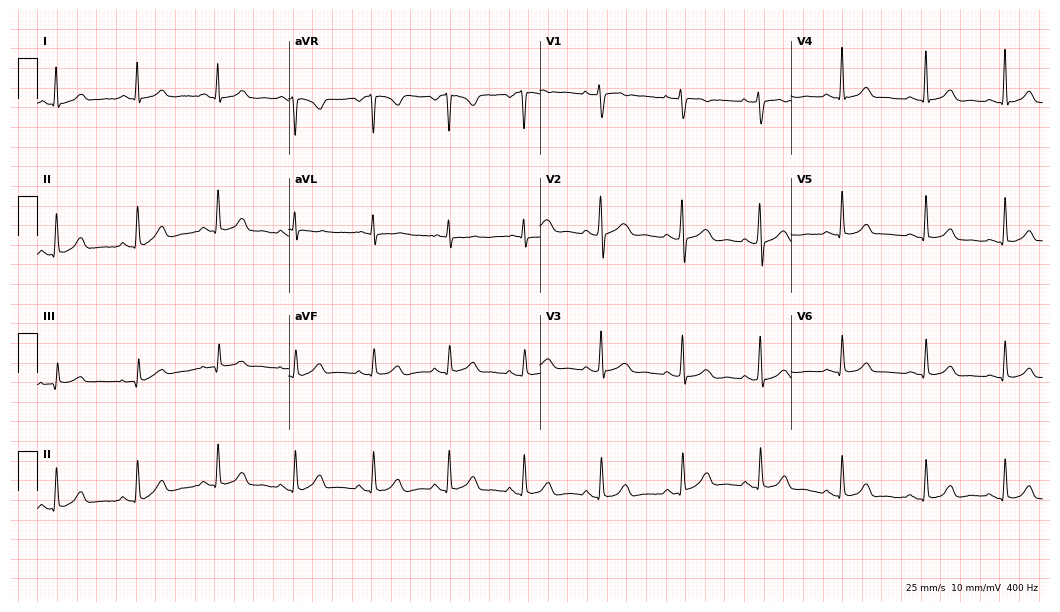
Electrocardiogram (10.2-second recording at 400 Hz), a female patient, 32 years old. Of the six screened findings (first-degree AV block, right bundle branch block, left bundle branch block, sinus bradycardia, atrial fibrillation, sinus tachycardia), none is recorded.